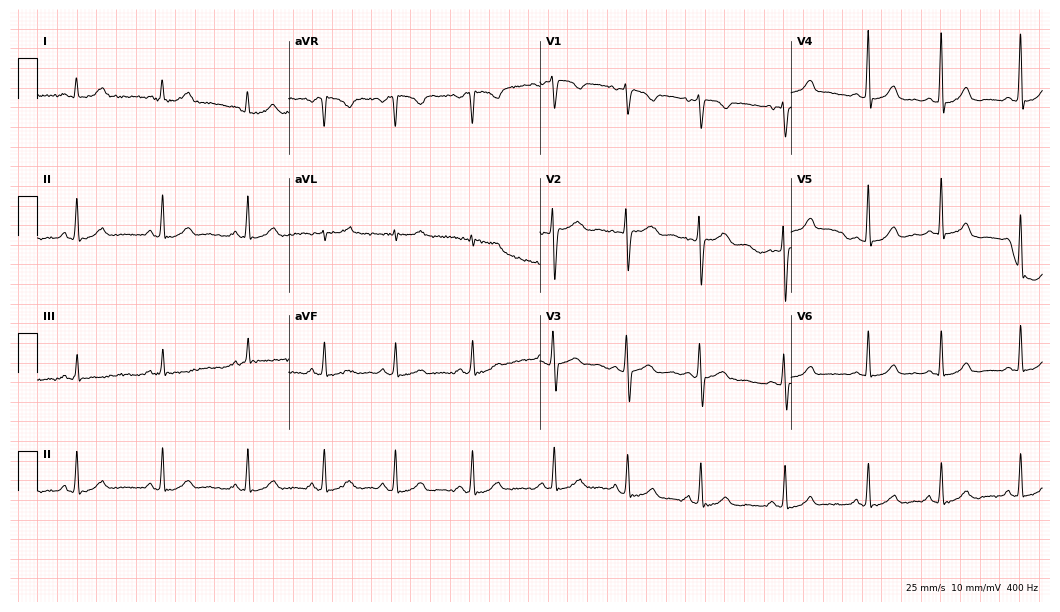
Electrocardiogram, a 30-year-old female. Overall reading on record: normal ECG.